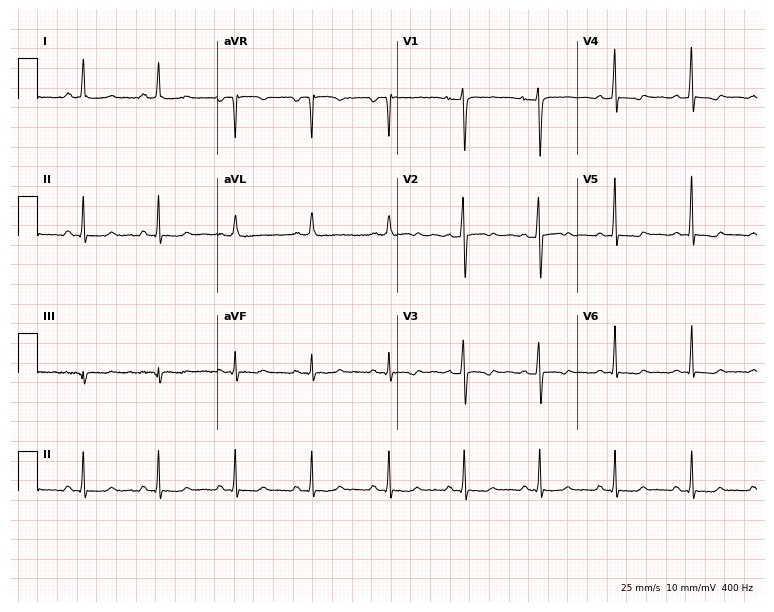
Standard 12-lead ECG recorded from a female, 39 years old. Read as a normal ECG.